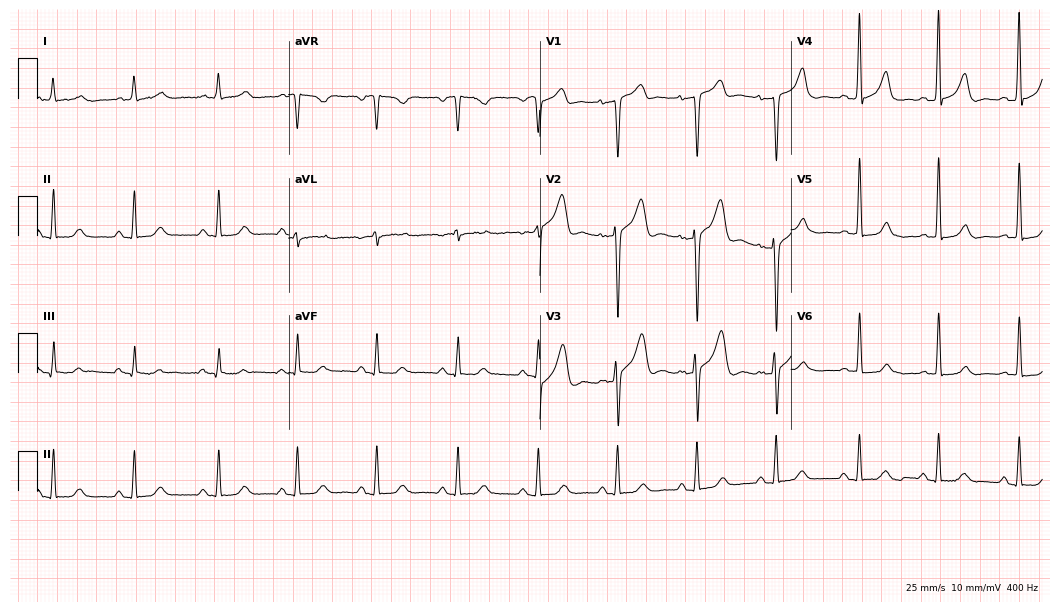
ECG (10.2-second recording at 400 Hz) — a 71-year-old male patient. Screened for six findings — first-degree AV block, right bundle branch block, left bundle branch block, sinus bradycardia, atrial fibrillation, sinus tachycardia — none is recorded. Findings outside these six are not listed.